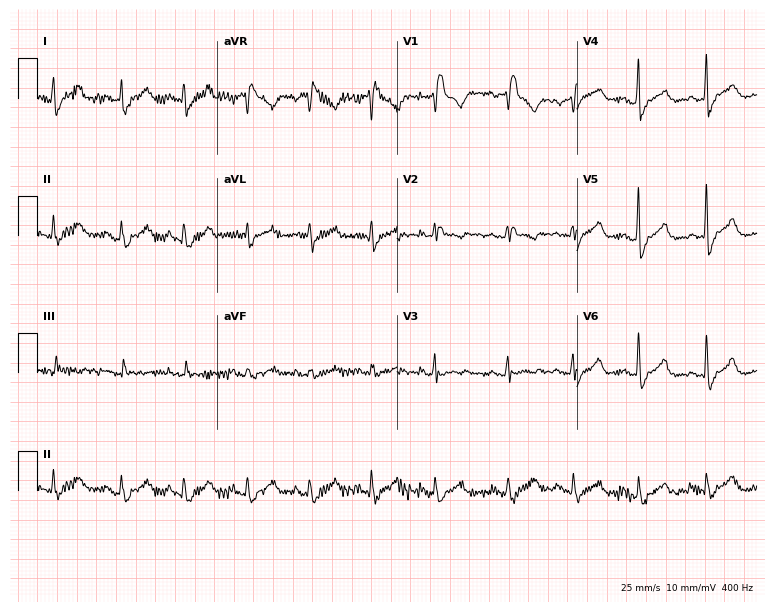
Standard 12-lead ECG recorded from a 48-year-old woman (7.3-second recording at 400 Hz). The tracing shows right bundle branch block.